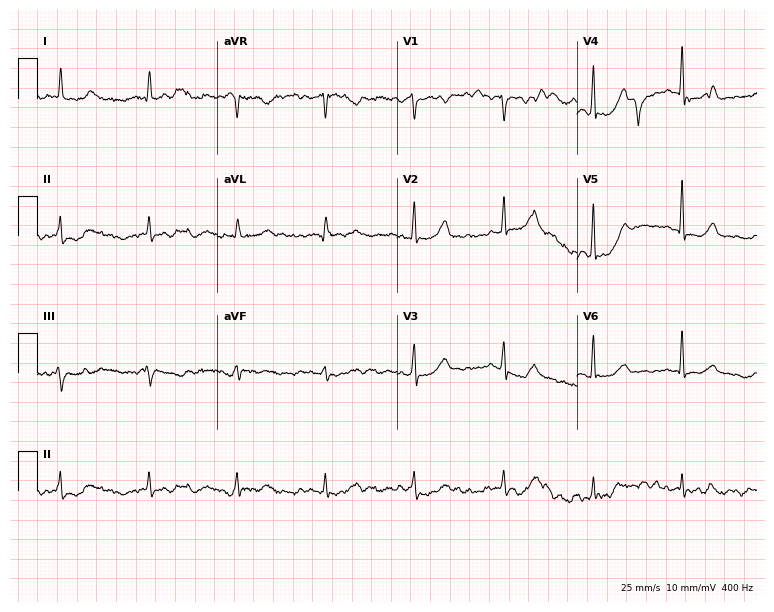
12-lead ECG from a woman, 60 years old (7.3-second recording at 400 Hz). No first-degree AV block, right bundle branch block, left bundle branch block, sinus bradycardia, atrial fibrillation or sinus tachycardia recorded for this tracing. Findings outside these six are not listed.